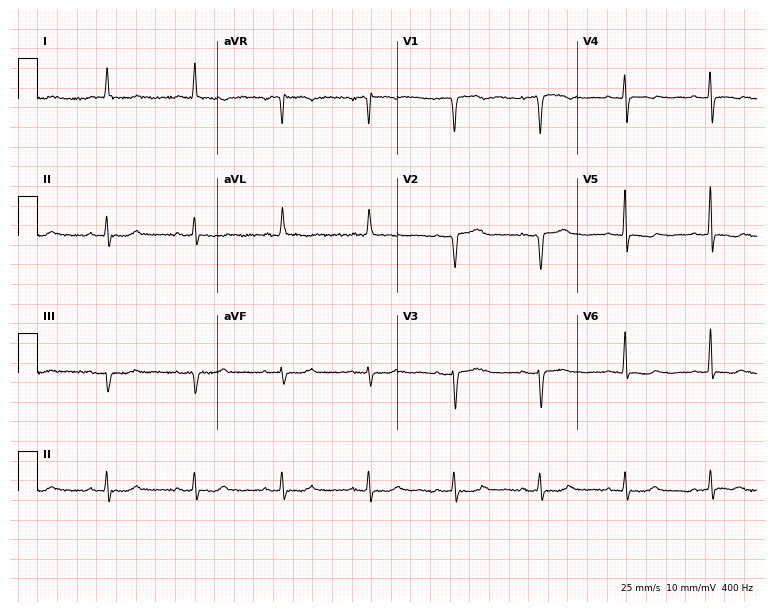
12-lead ECG from a 72-year-old female. No first-degree AV block, right bundle branch block, left bundle branch block, sinus bradycardia, atrial fibrillation or sinus tachycardia recorded for this tracing. Findings outside these six are not listed.